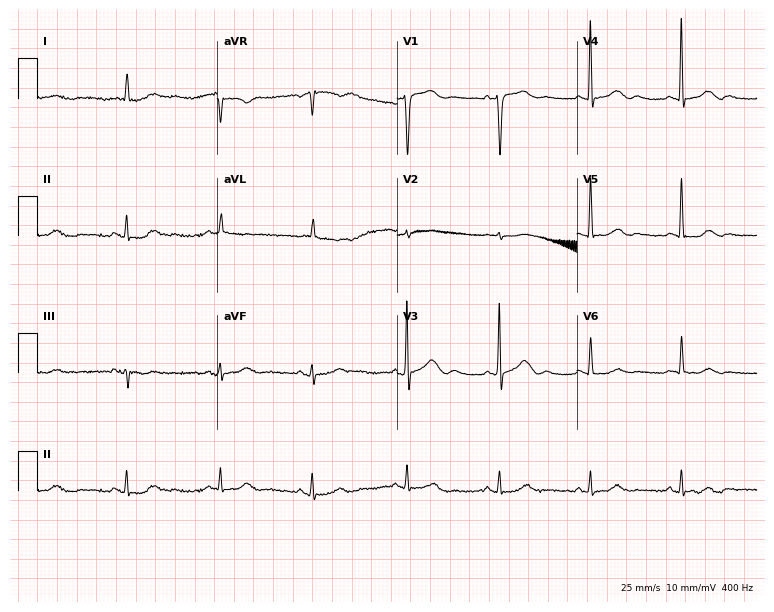
Resting 12-lead electrocardiogram (7.3-second recording at 400 Hz). Patient: a female, 85 years old. None of these six findings is recorded: first-degree AV block, right bundle branch block, left bundle branch block, sinus bradycardia, atrial fibrillation, sinus tachycardia. Only these six findings were labelled.